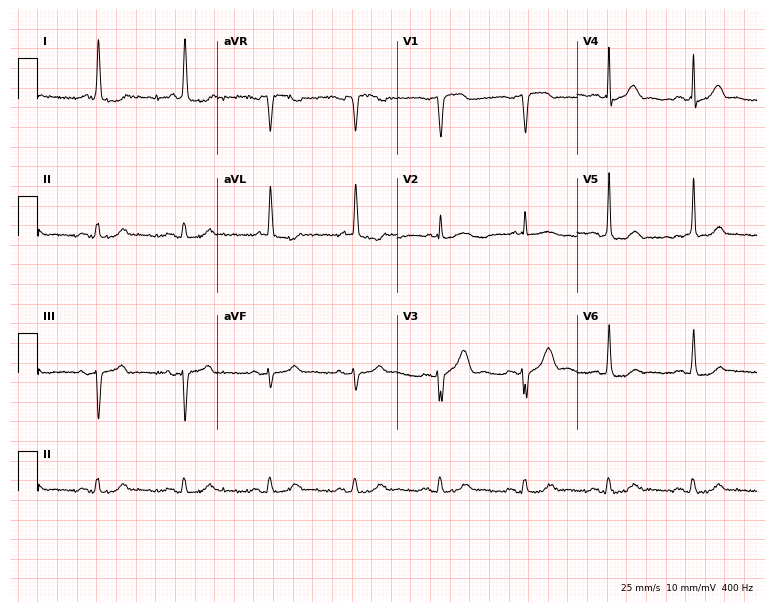
Standard 12-lead ECG recorded from a male, 79 years old (7.3-second recording at 400 Hz). None of these six findings is recorded: first-degree AV block, right bundle branch block (RBBB), left bundle branch block (LBBB), sinus bradycardia, atrial fibrillation (AF), sinus tachycardia.